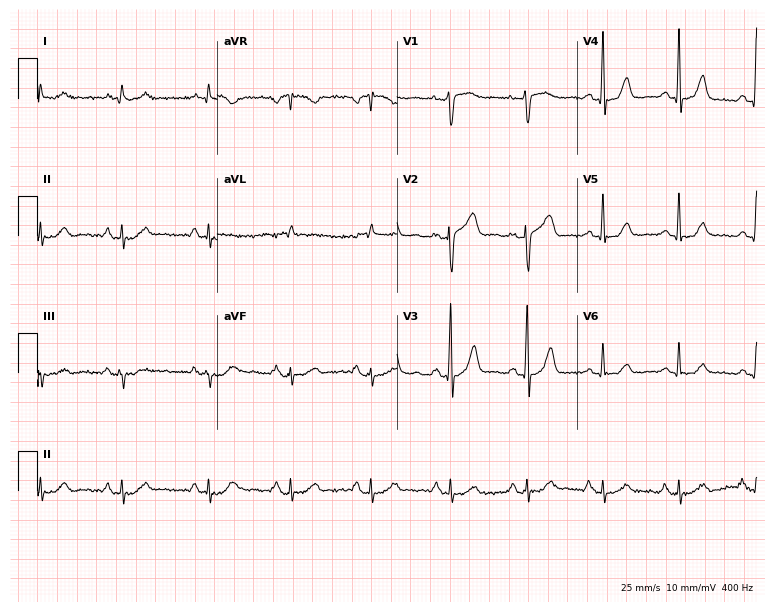
Electrocardiogram (7.3-second recording at 400 Hz), a male, 61 years old. Of the six screened findings (first-degree AV block, right bundle branch block, left bundle branch block, sinus bradycardia, atrial fibrillation, sinus tachycardia), none is recorded. Findings outside these six are not listed.